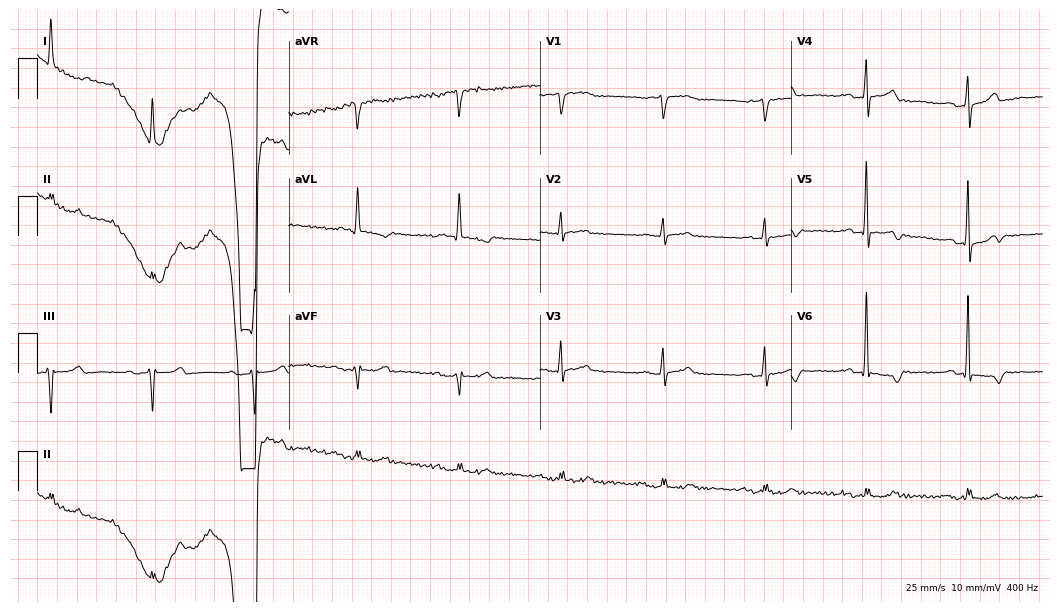
Resting 12-lead electrocardiogram (10.2-second recording at 400 Hz). Patient: a 75-year-old male. None of these six findings is recorded: first-degree AV block, right bundle branch block, left bundle branch block, sinus bradycardia, atrial fibrillation, sinus tachycardia.